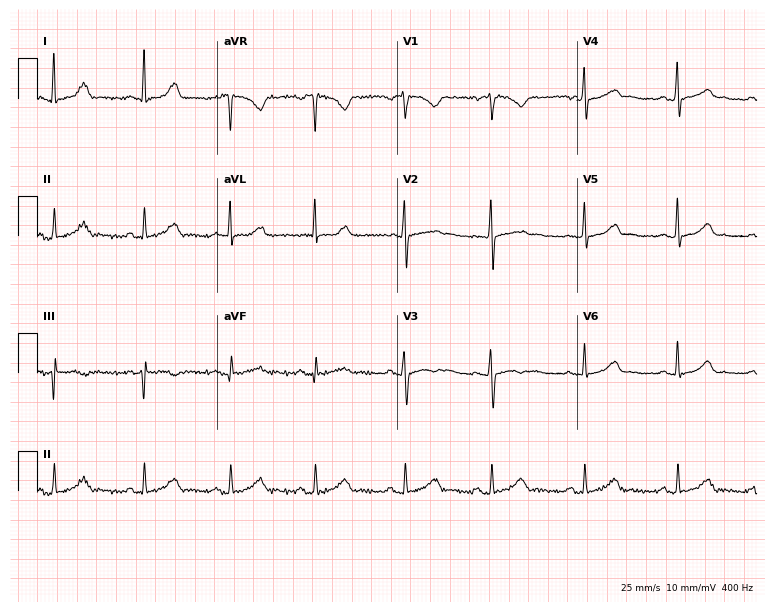
12-lead ECG (7.3-second recording at 400 Hz) from a 27-year-old female. Labelled as a normal ECG.